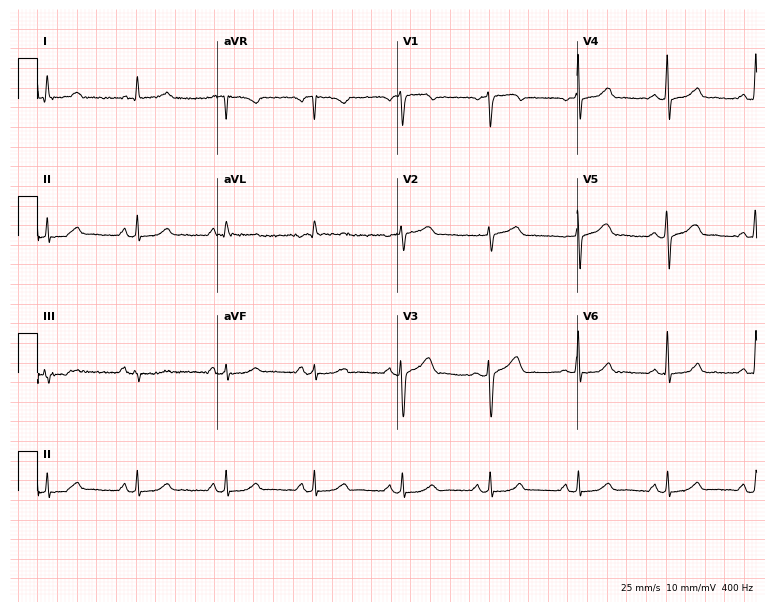
Resting 12-lead electrocardiogram (7.3-second recording at 400 Hz). Patient: a male, 52 years old. None of these six findings is recorded: first-degree AV block, right bundle branch block, left bundle branch block, sinus bradycardia, atrial fibrillation, sinus tachycardia. Findings outside these six are not listed.